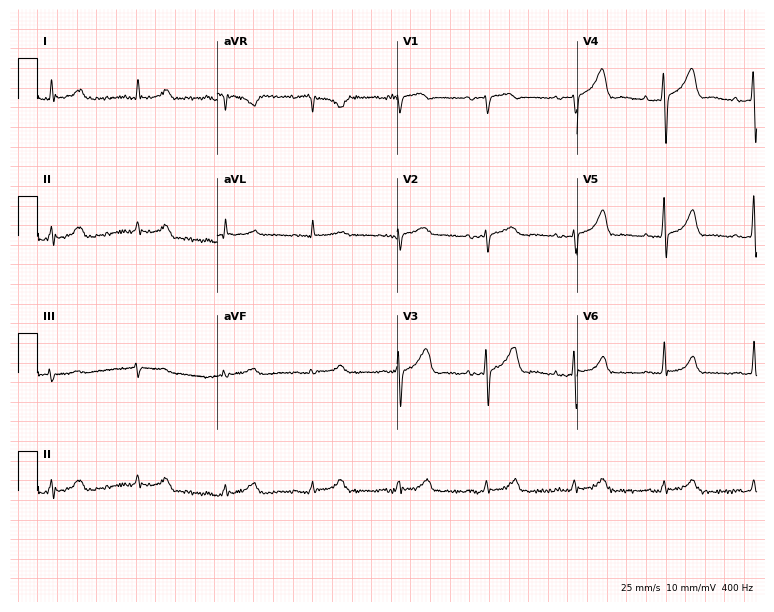
Resting 12-lead electrocardiogram. Patient: a 61-year-old female. Read as a normal ECG.